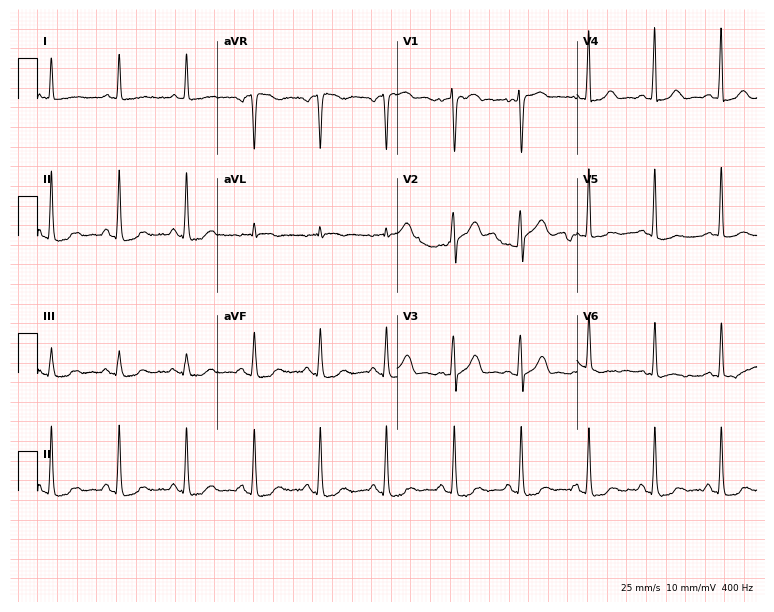
12-lead ECG from a female, 84 years old. Screened for six findings — first-degree AV block, right bundle branch block, left bundle branch block, sinus bradycardia, atrial fibrillation, sinus tachycardia — none is recorded. Findings outside these six are not listed.